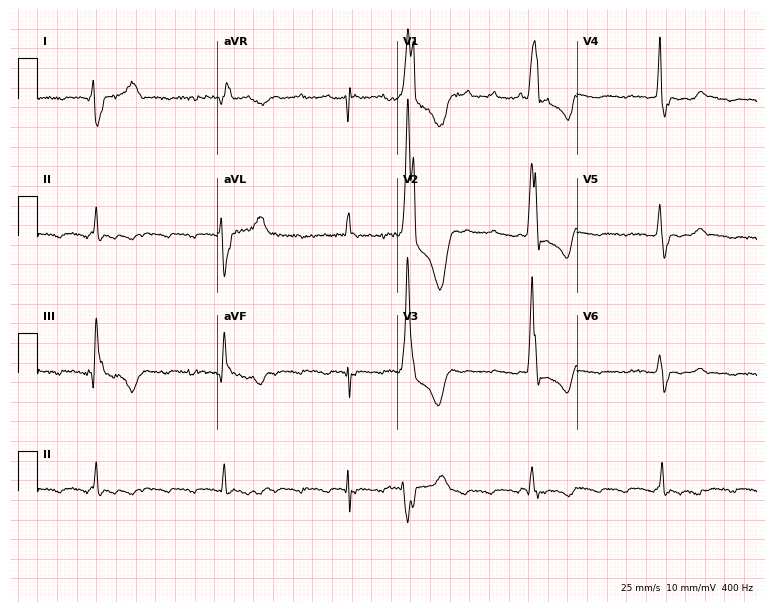
Electrocardiogram (7.3-second recording at 400 Hz), an 80-year-old man. Interpretation includes right bundle branch block.